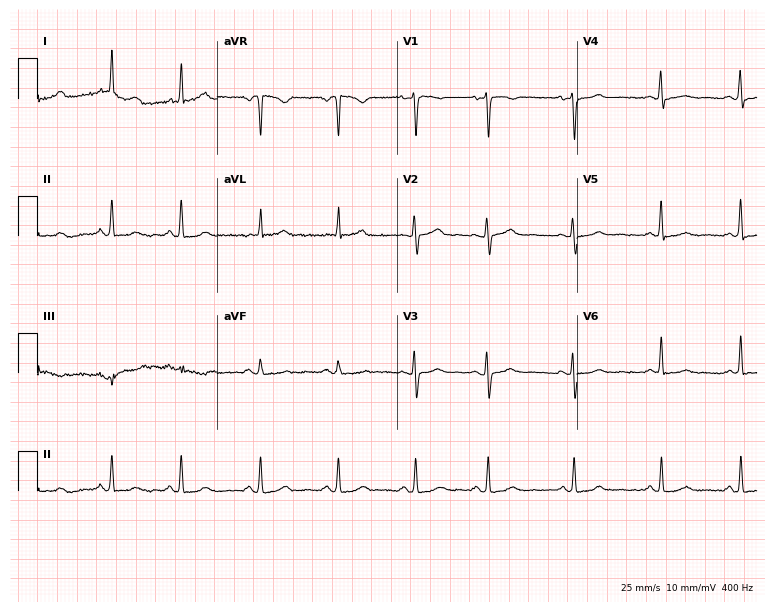
12-lead ECG from a 43-year-old female (7.3-second recording at 400 Hz). Recorded interpretation: within normal limits.